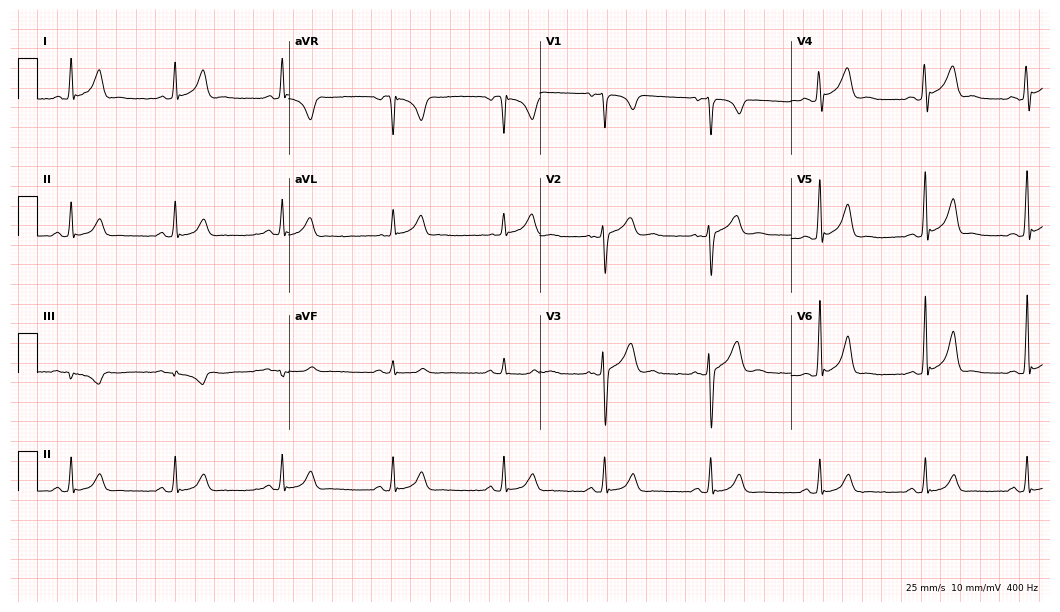
Electrocardiogram, a 32-year-old male. Overall reading on record: normal ECG.